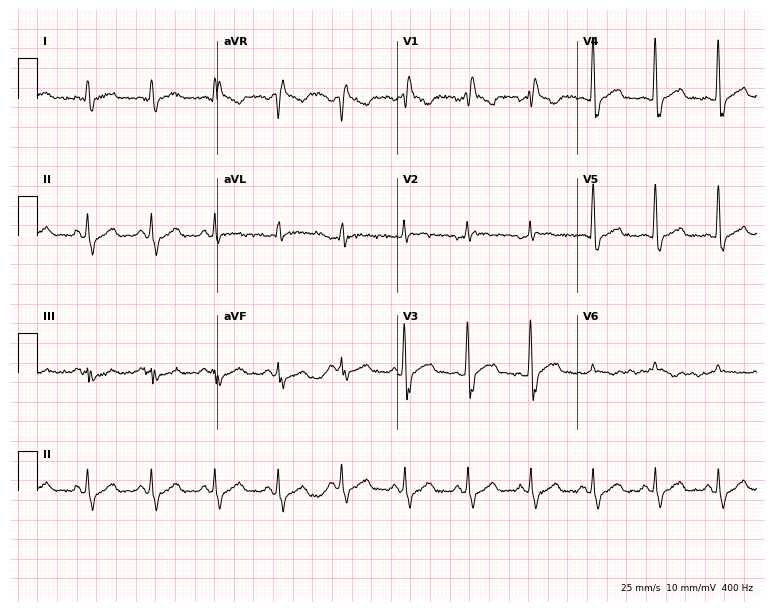
ECG — a male, 57 years old. Screened for six findings — first-degree AV block, right bundle branch block (RBBB), left bundle branch block (LBBB), sinus bradycardia, atrial fibrillation (AF), sinus tachycardia — none is recorded. Findings outside these six are not listed.